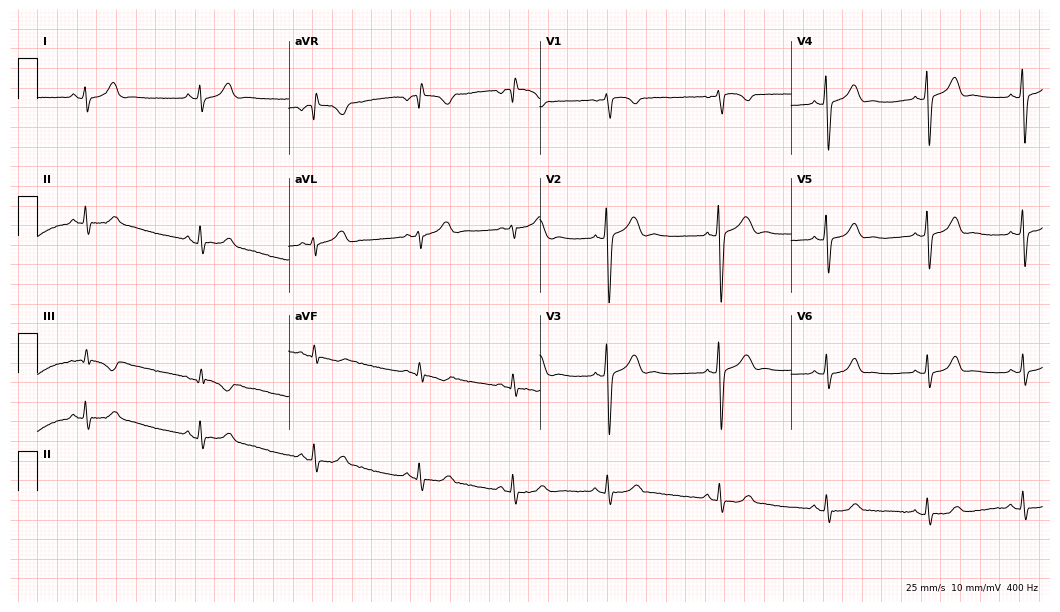
12-lead ECG from a female, 47 years old (10.2-second recording at 400 Hz). No first-degree AV block, right bundle branch block (RBBB), left bundle branch block (LBBB), sinus bradycardia, atrial fibrillation (AF) or sinus tachycardia recorded for this tracing. Findings outside these six are not listed.